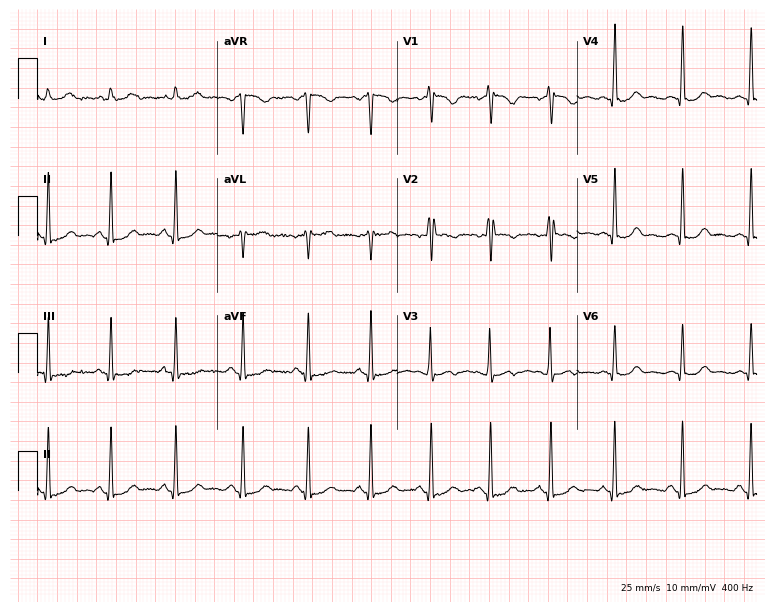
Standard 12-lead ECG recorded from a 40-year-old woman (7.3-second recording at 400 Hz). None of these six findings is recorded: first-degree AV block, right bundle branch block, left bundle branch block, sinus bradycardia, atrial fibrillation, sinus tachycardia. Only these six findings were labelled.